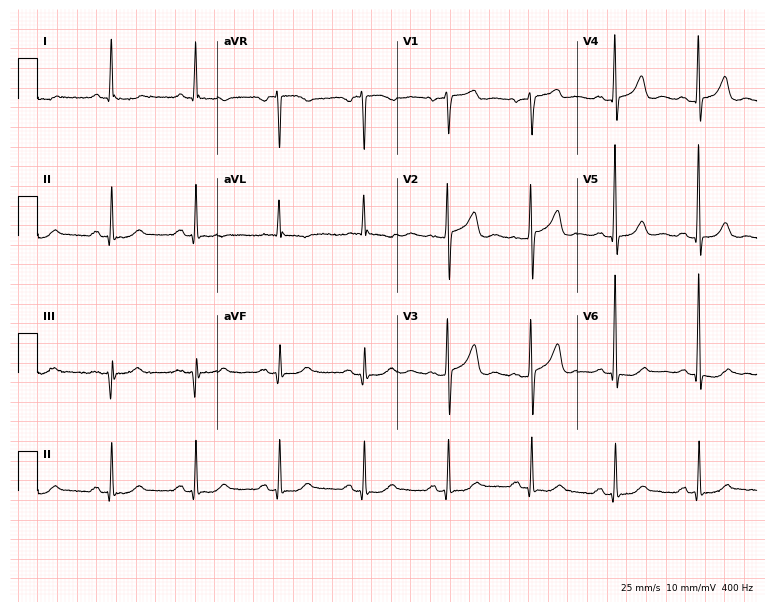
12-lead ECG from an 83-year-old male. Recorded interpretation: within normal limits.